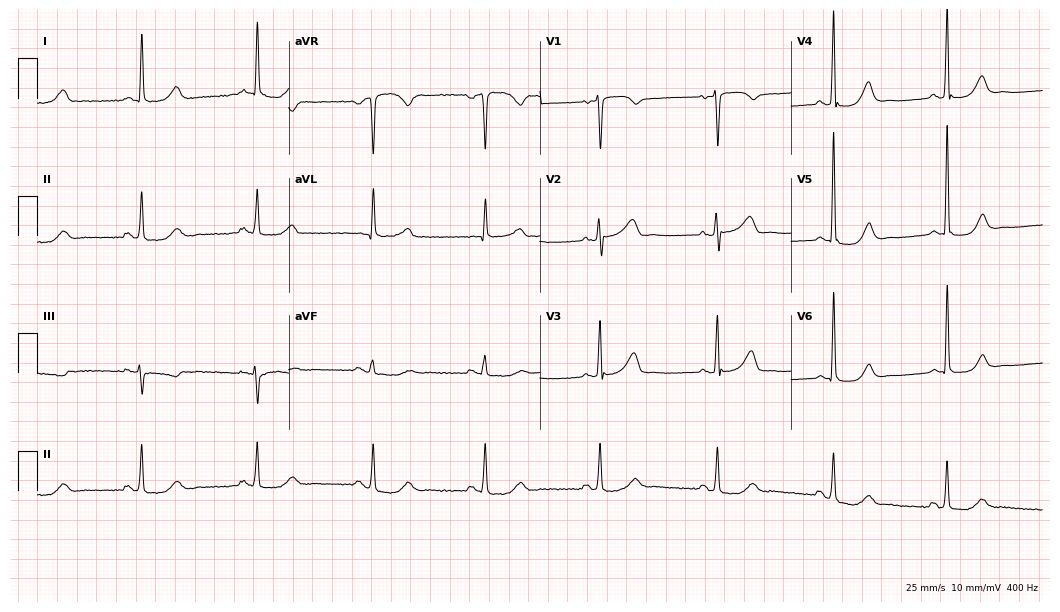
Standard 12-lead ECG recorded from a woman, 62 years old (10.2-second recording at 400 Hz). Read as a normal ECG.